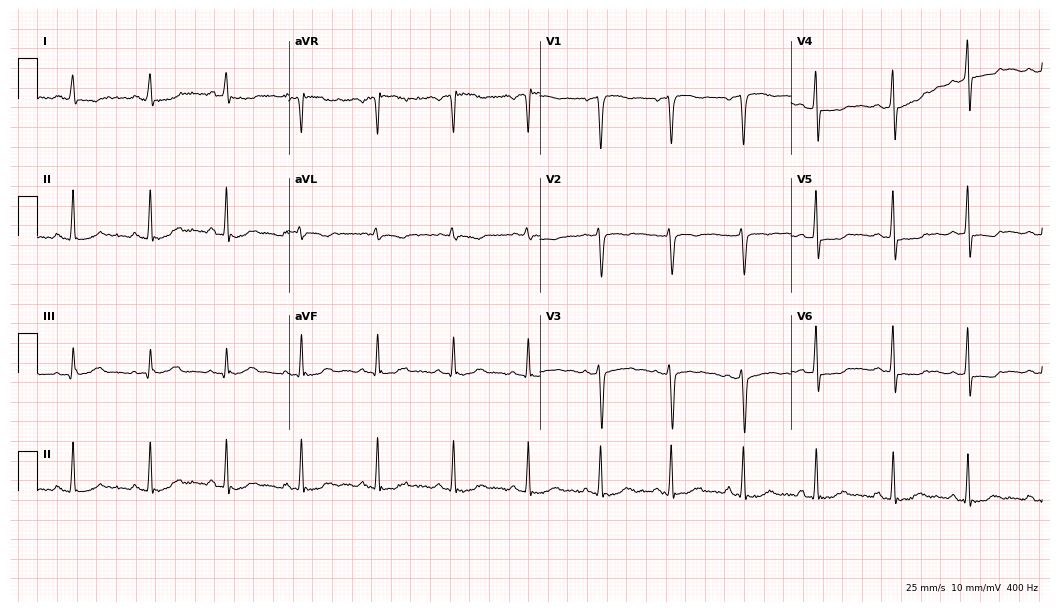
12-lead ECG from a 40-year-old female. Screened for six findings — first-degree AV block, right bundle branch block, left bundle branch block, sinus bradycardia, atrial fibrillation, sinus tachycardia — none is recorded. Only these six findings were labelled.